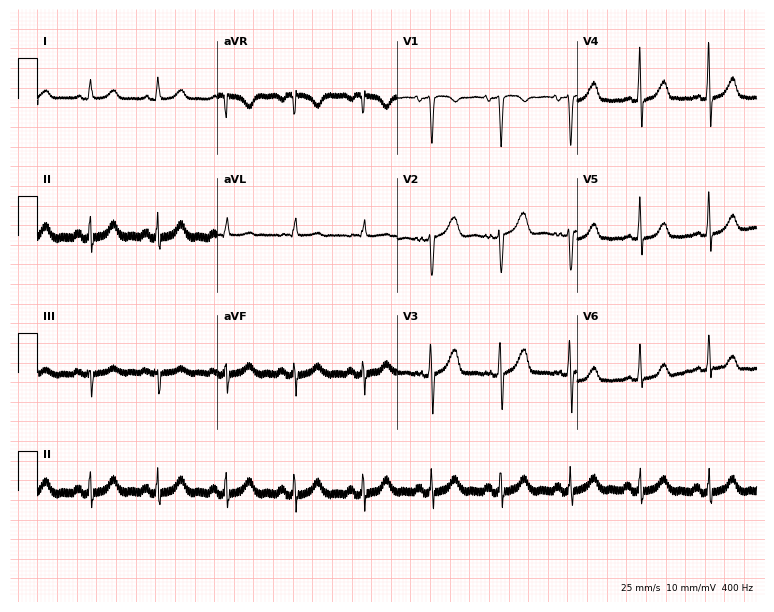
12-lead ECG from a female patient, 50 years old. Labelled as a normal ECG.